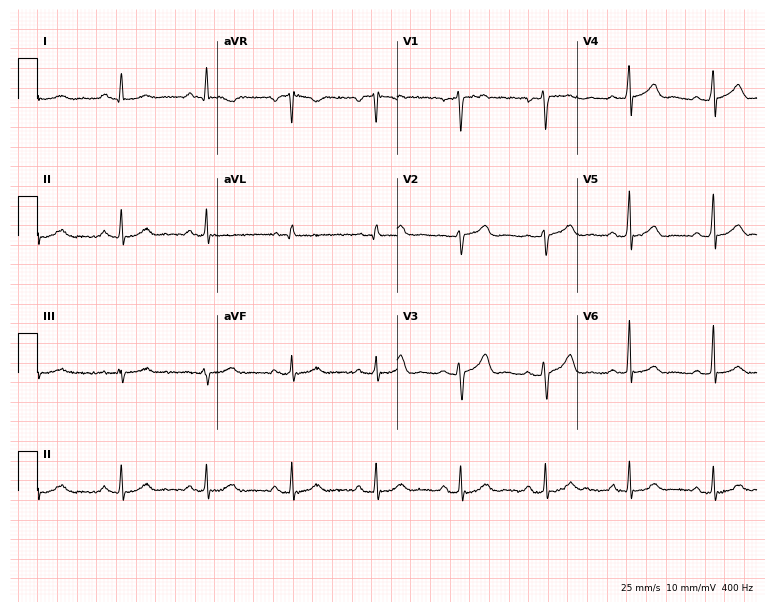
ECG — a 44-year-old male. Labelled as a normal ECG.